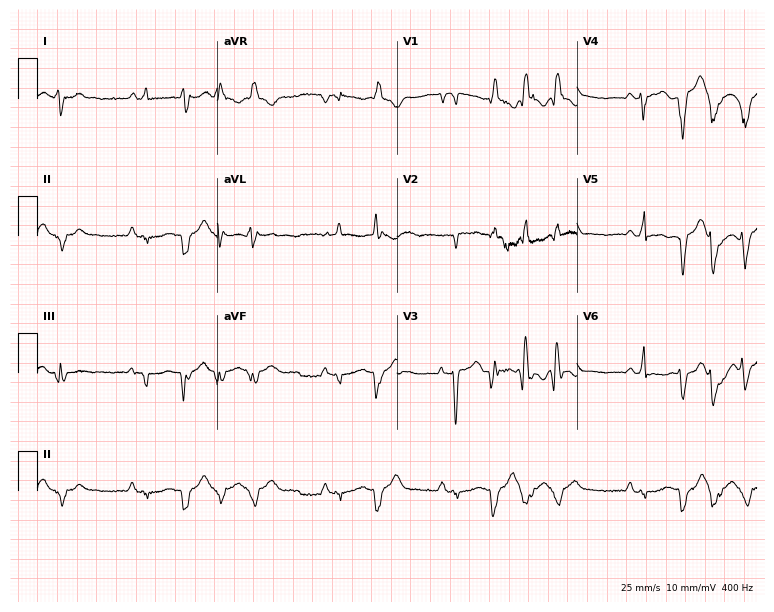
12-lead ECG from a 40-year-old woman. Findings include sinus tachycardia (a sinus rate of 100 beats per minute or more).